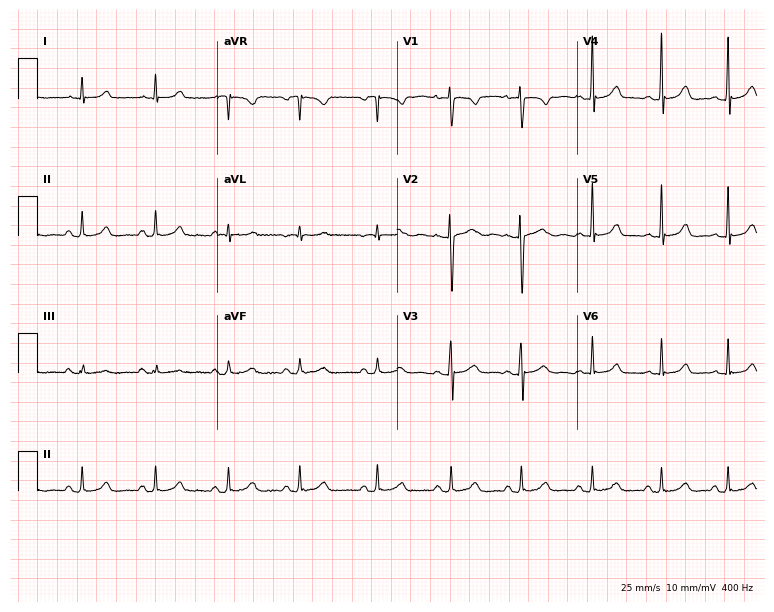
Electrocardiogram, a female patient, 18 years old. Of the six screened findings (first-degree AV block, right bundle branch block, left bundle branch block, sinus bradycardia, atrial fibrillation, sinus tachycardia), none is recorded.